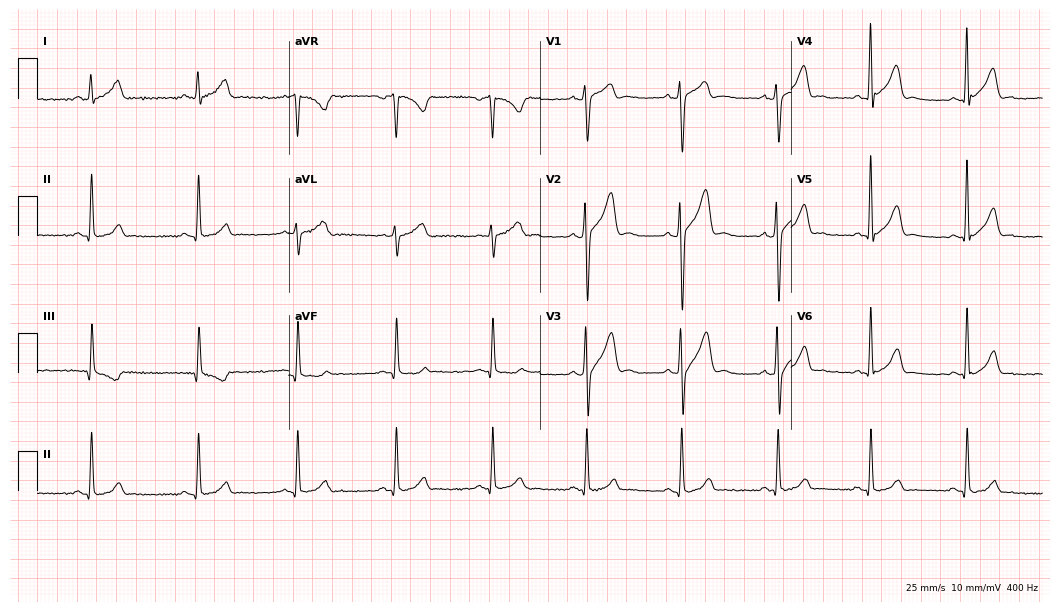
Standard 12-lead ECG recorded from a man, 28 years old (10.2-second recording at 400 Hz). Read as a normal ECG.